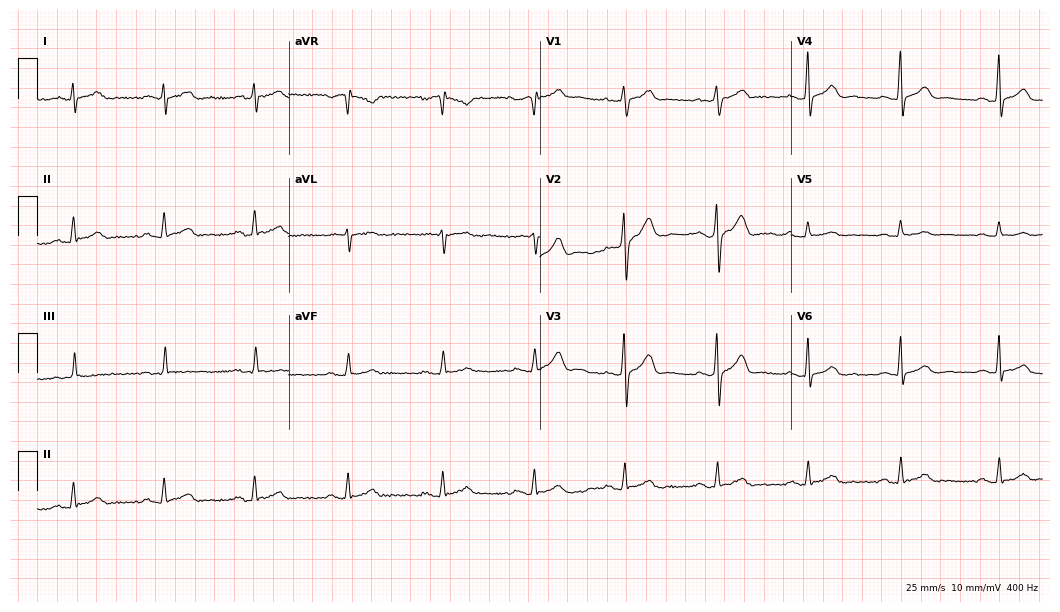
12-lead ECG (10.2-second recording at 400 Hz) from a male patient, 37 years old. Labelled as a normal ECG.